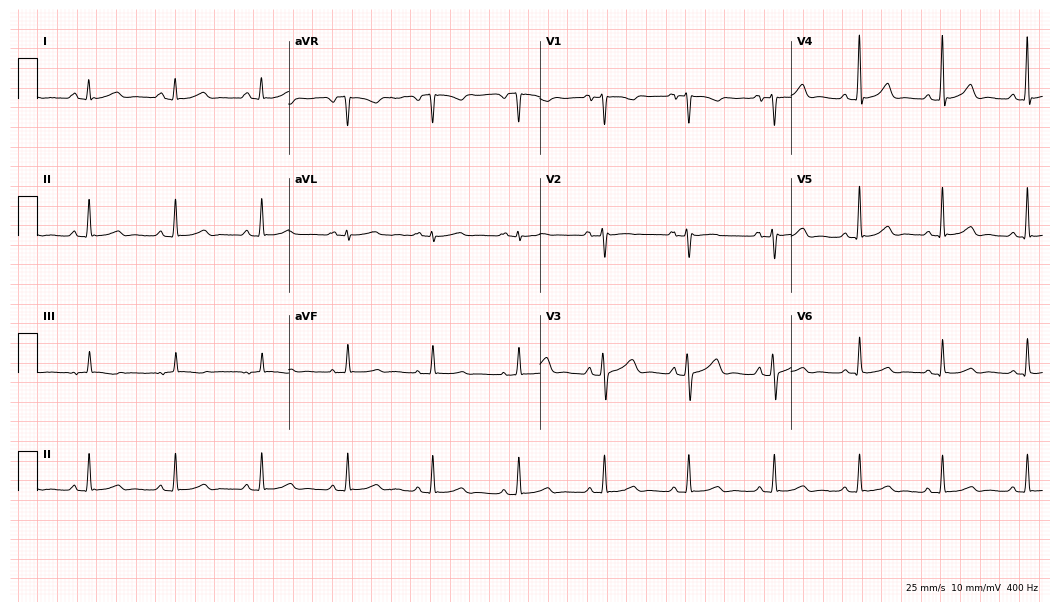
Electrocardiogram (10.2-second recording at 400 Hz), a woman, 26 years old. Overall reading on record: normal ECG.